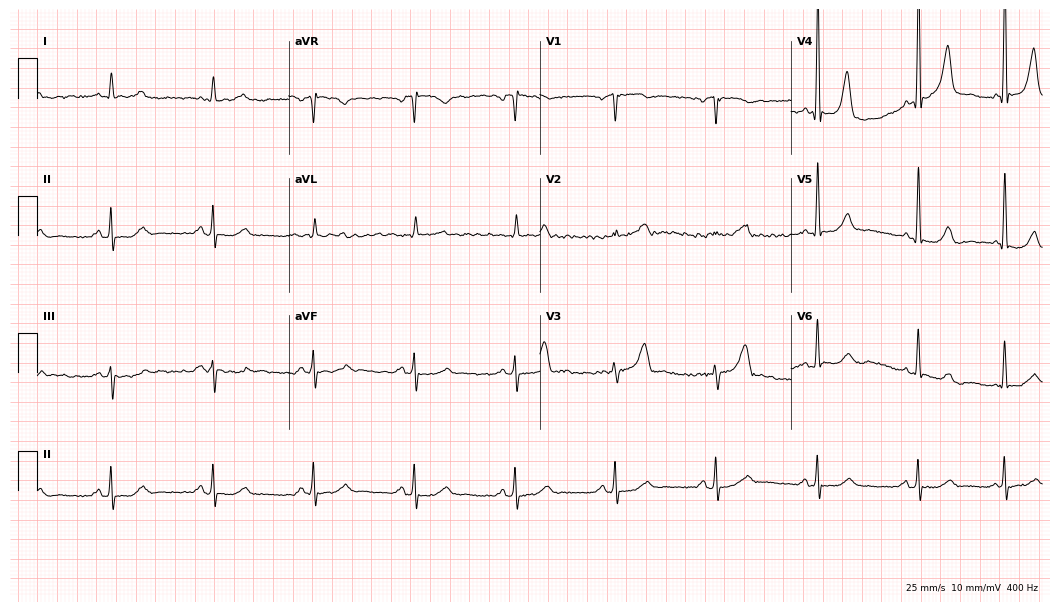
Standard 12-lead ECG recorded from an 80-year-old man. Read as a normal ECG.